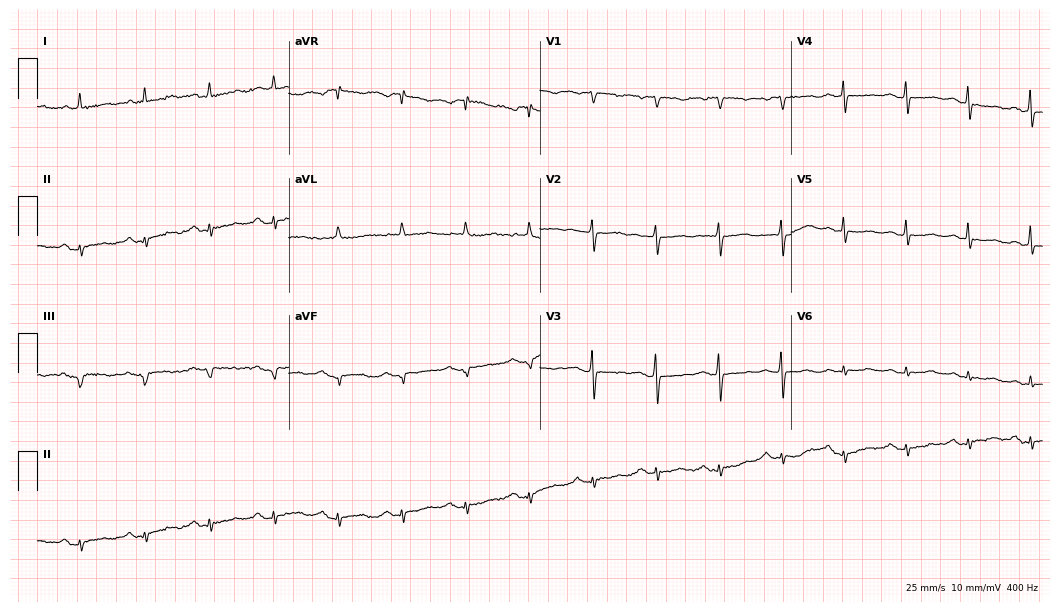
12-lead ECG from a woman, 73 years old. No first-degree AV block, right bundle branch block (RBBB), left bundle branch block (LBBB), sinus bradycardia, atrial fibrillation (AF) or sinus tachycardia recorded for this tracing. Other findings, if any, are not listed.